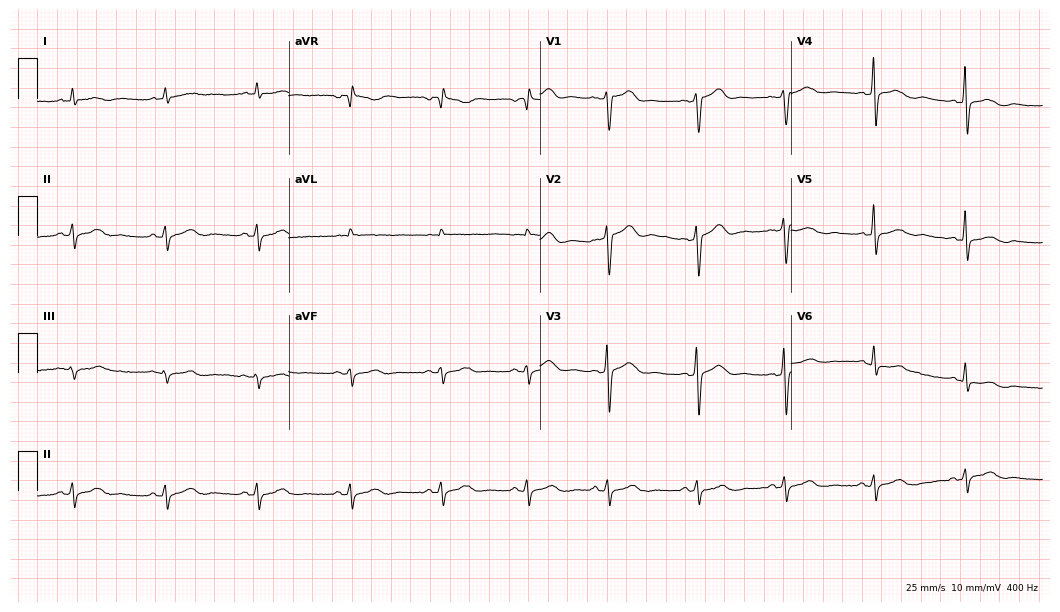
12-lead ECG from a male patient, 57 years old (10.2-second recording at 400 Hz). No first-degree AV block, right bundle branch block, left bundle branch block, sinus bradycardia, atrial fibrillation or sinus tachycardia recorded for this tracing. Other findings, if any, are not listed.